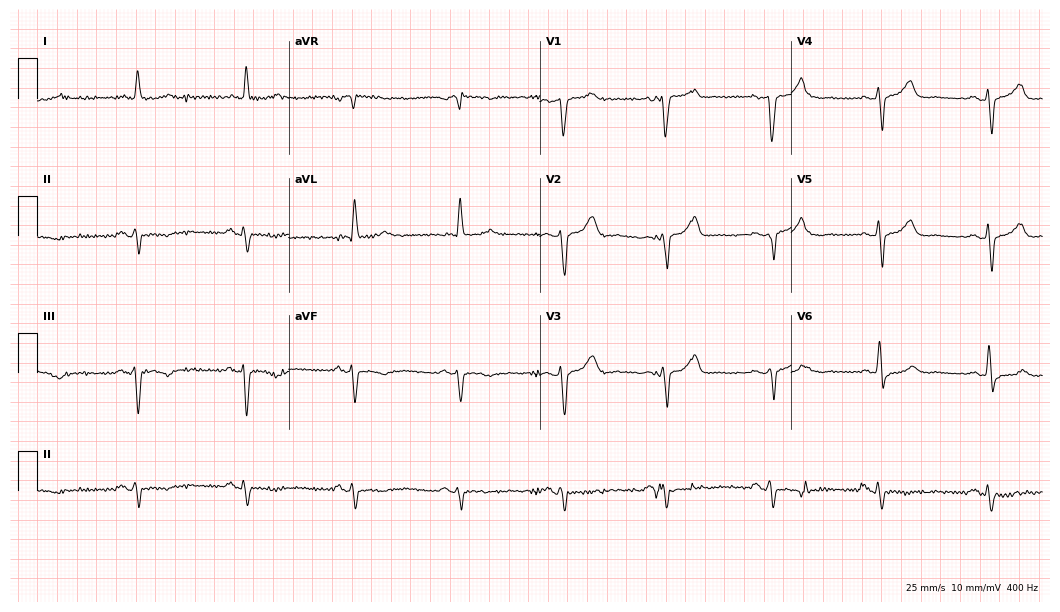
Resting 12-lead electrocardiogram. Patient: a 69-year-old male. None of these six findings is recorded: first-degree AV block, right bundle branch block, left bundle branch block, sinus bradycardia, atrial fibrillation, sinus tachycardia. Other findings, if any, are not listed.